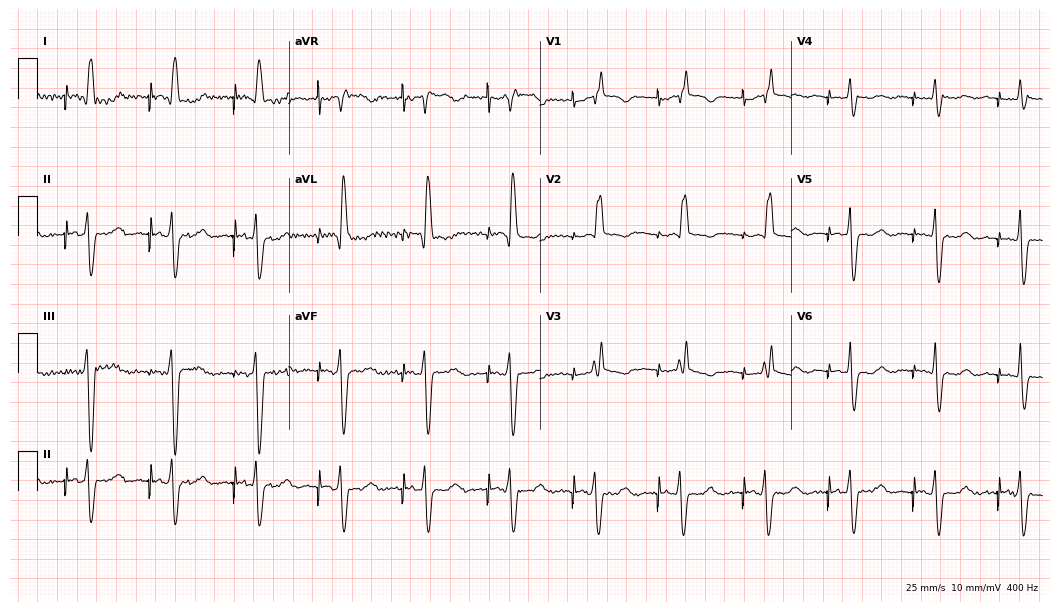
12-lead ECG from a 76-year-old female patient. Screened for six findings — first-degree AV block, right bundle branch block (RBBB), left bundle branch block (LBBB), sinus bradycardia, atrial fibrillation (AF), sinus tachycardia — none is recorded. Only these six findings were labelled.